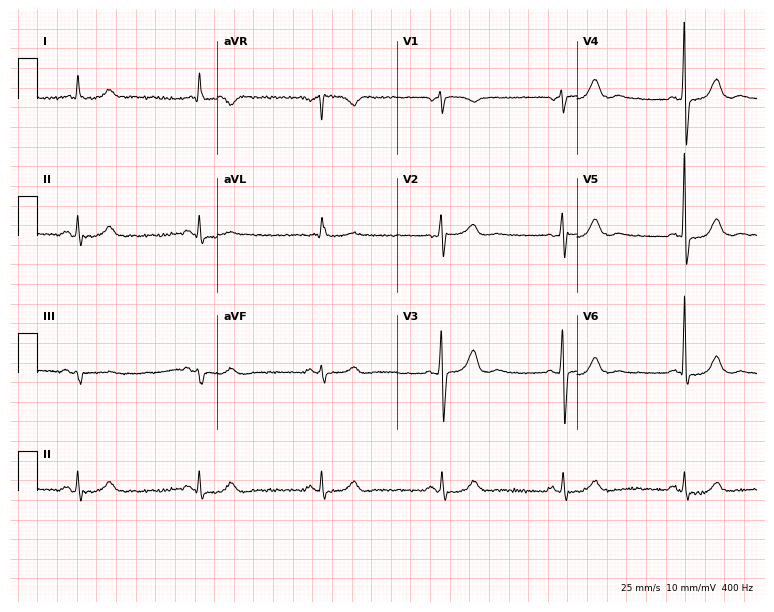
Electrocardiogram, a male patient, 73 years old. Interpretation includes sinus bradycardia (a sinus rate of 50 beats per minute or less).